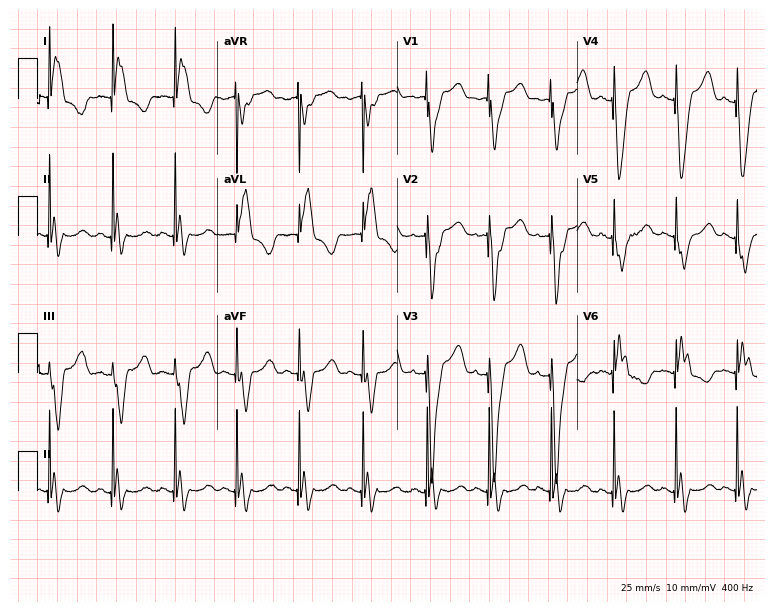
12-lead ECG (7.3-second recording at 400 Hz) from a 40-year-old female. Screened for six findings — first-degree AV block, right bundle branch block, left bundle branch block, sinus bradycardia, atrial fibrillation, sinus tachycardia — none is recorded. Findings outside these six are not listed.